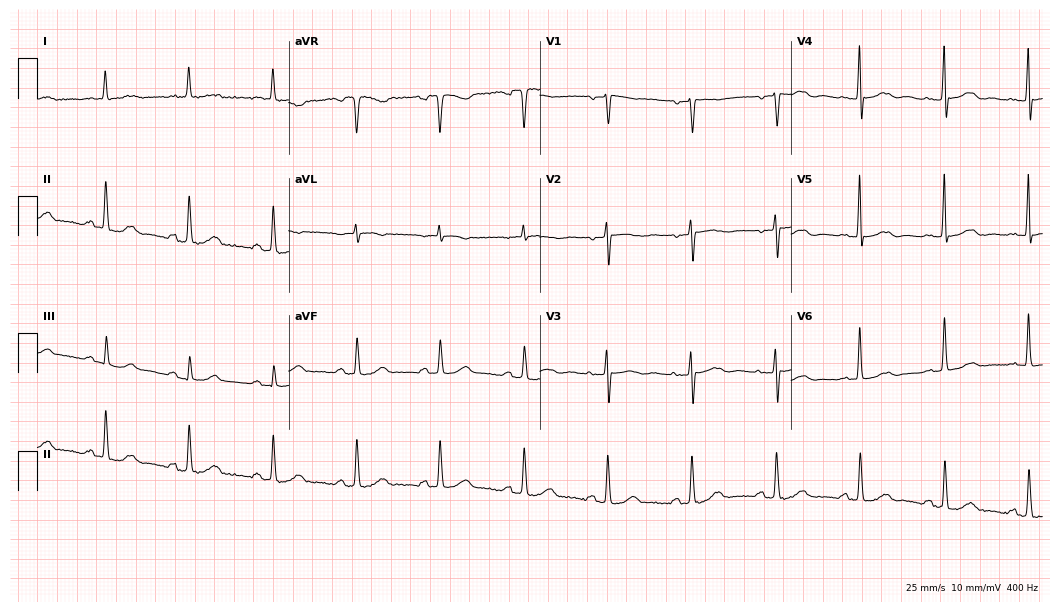
12-lead ECG (10.2-second recording at 400 Hz) from an 85-year-old female. Screened for six findings — first-degree AV block, right bundle branch block, left bundle branch block, sinus bradycardia, atrial fibrillation, sinus tachycardia — none is recorded. Findings outside these six are not listed.